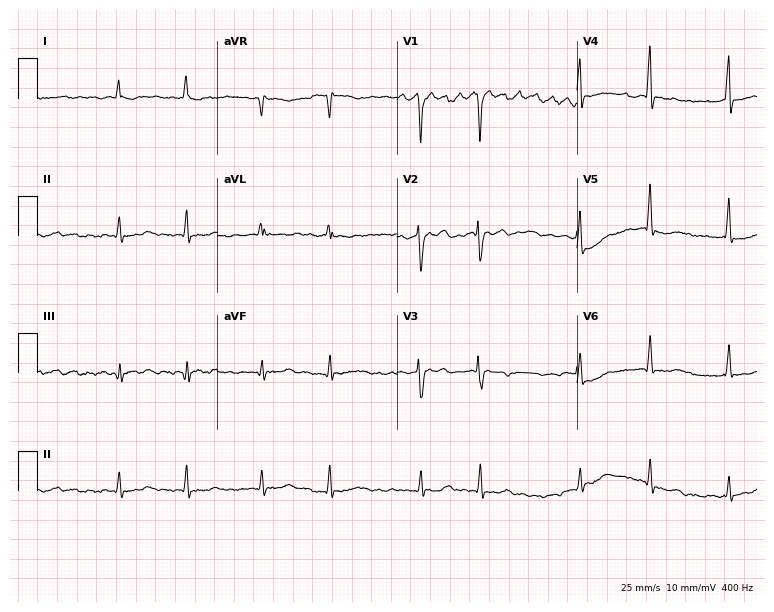
12-lead ECG (7.3-second recording at 400 Hz) from a female, 39 years old. Findings include atrial fibrillation (AF).